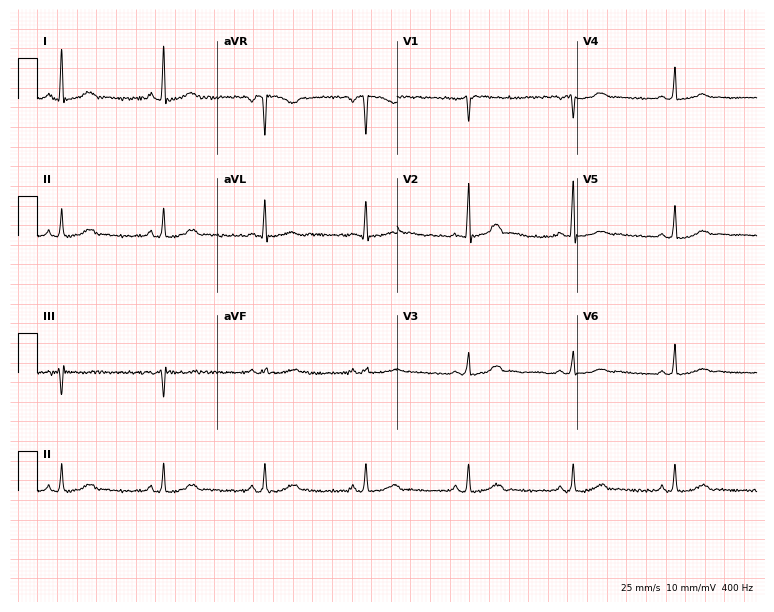
Standard 12-lead ECG recorded from a 46-year-old female patient (7.3-second recording at 400 Hz). Read as a normal ECG.